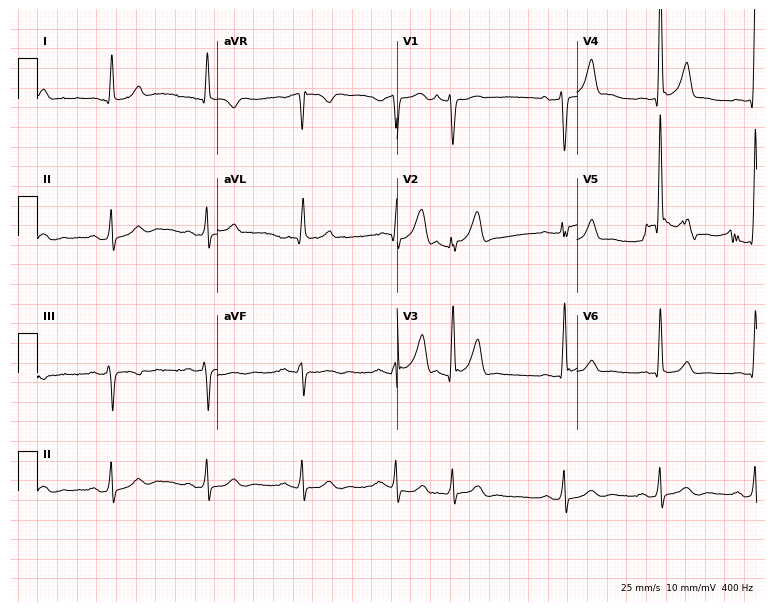
Standard 12-lead ECG recorded from a man, 73 years old. None of these six findings is recorded: first-degree AV block, right bundle branch block, left bundle branch block, sinus bradycardia, atrial fibrillation, sinus tachycardia. Only these six findings were labelled.